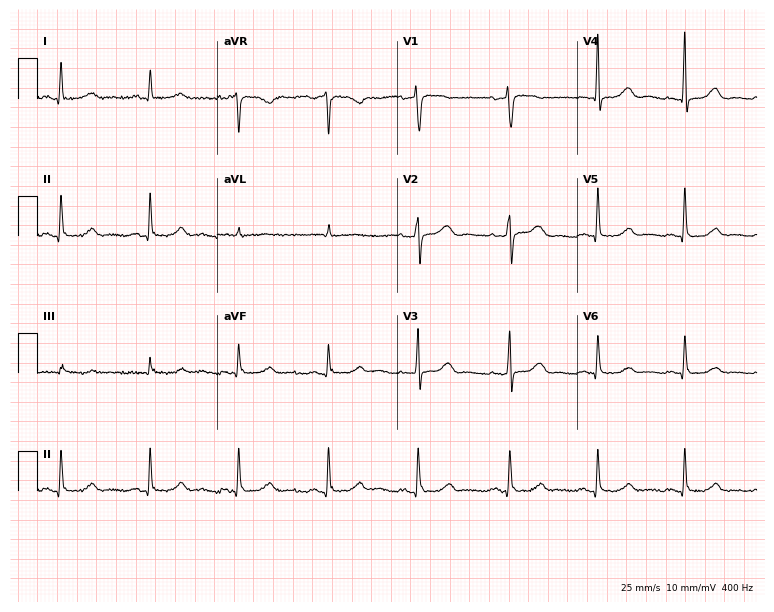
12-lead ECG from a female, 75 years old (7.3-second recording at 400 Hz). Recorded interpretation: within normal limits.